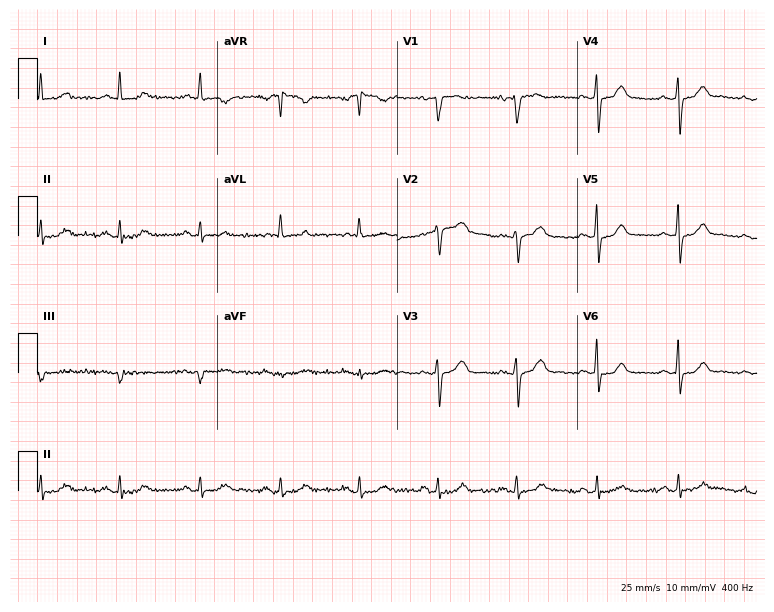
Resting 12-lead electrocardiogram (7.3-second recording at 400 Hz). Patient: a 52-year-old female. None of these six findings is recorded: first-degree AV block, right bundle branch block, left bundle branch block, sinus bradycardia, atrial fibrillation, sinus tachycardia.